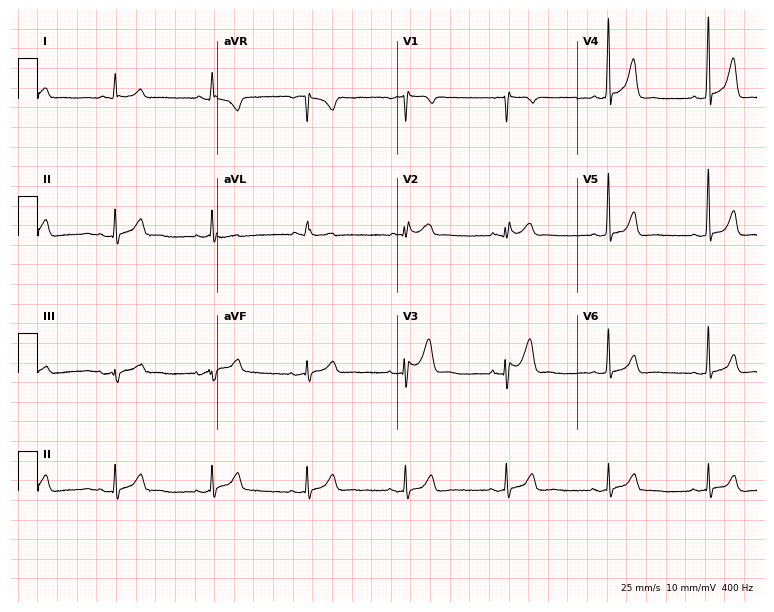
Electrocardiogram (7.3-second recording at 400 Hz), a 57-year-old male. Overall reading on record: normal ECG.